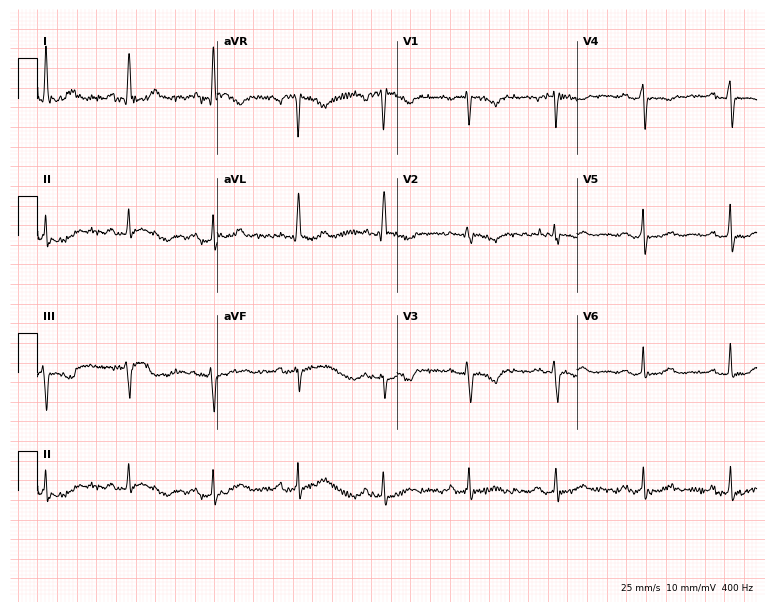
Electrocardiogram (7.3-second recording at 400 Hz), a female, 62 years old. Of the six screened findings (first-degree AV block, right bundle branch block (RBBB), left bundle branch block (LBBB), sinus bradycardia, atrial fibrillation (AF), sinus tachycardia), none is recorded. Other findings, if any, are not listed.